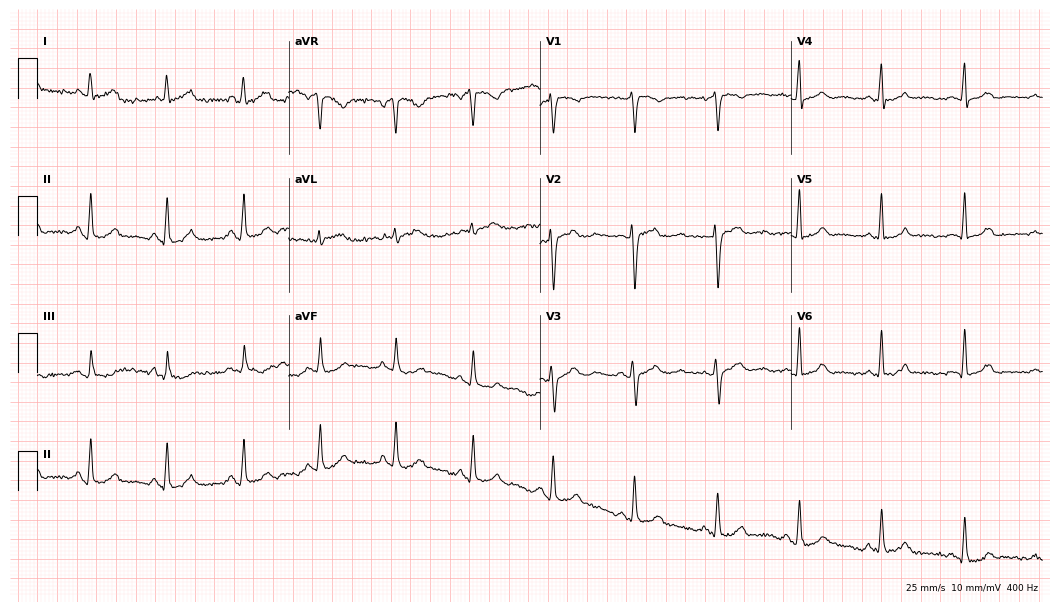
Resting 12-lead electrocardiogram. Patient: a female, 39 years old. Read as a normal ECG.